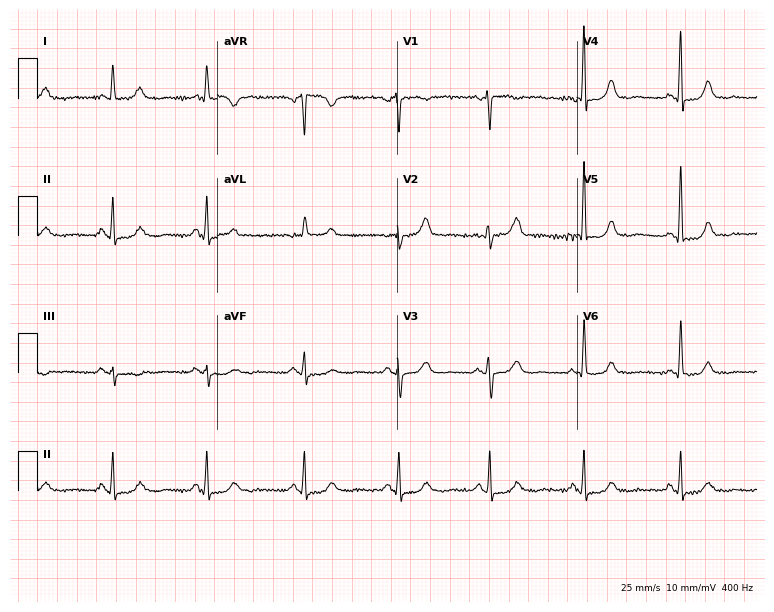
Electrocardiogram, a 61-year-old female. Overall reading on record: normal ECG.